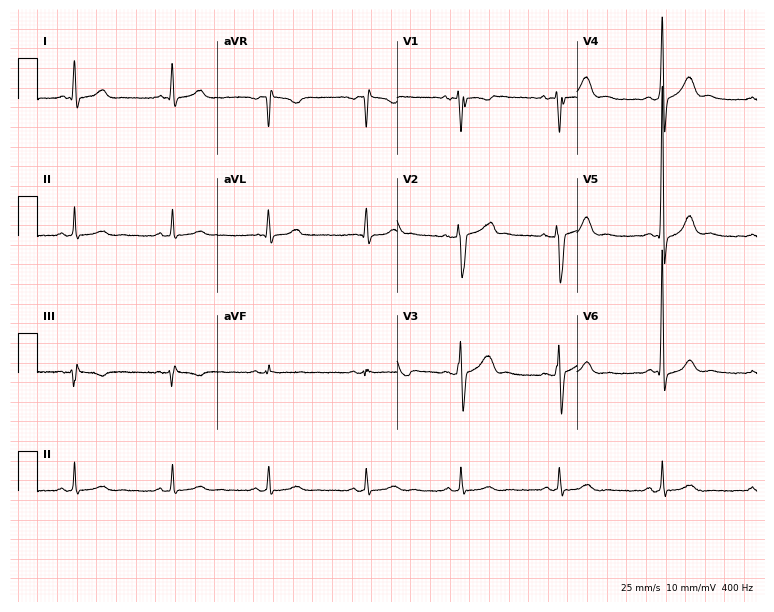
ECG — a male, 41 years old. Labelled as a normal ECG.